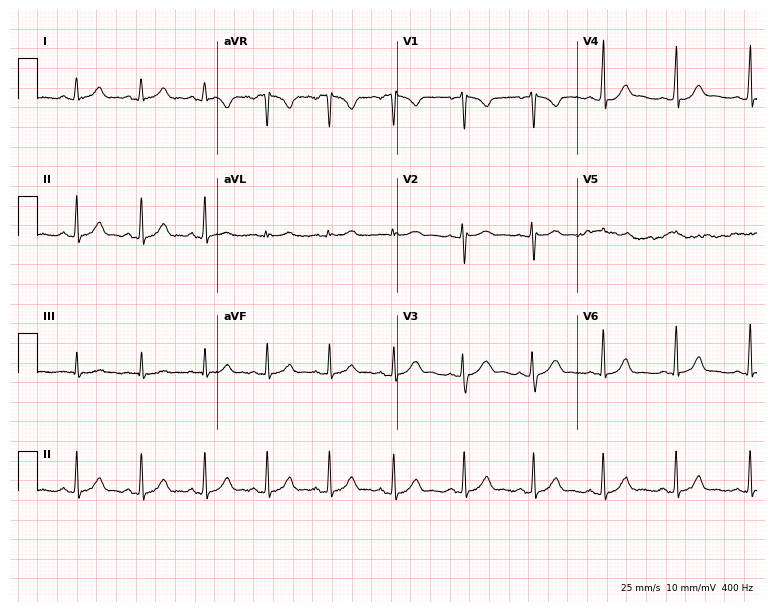
12-lead ECG from a 21-year-old female patient. Labelled as a normal ECG.